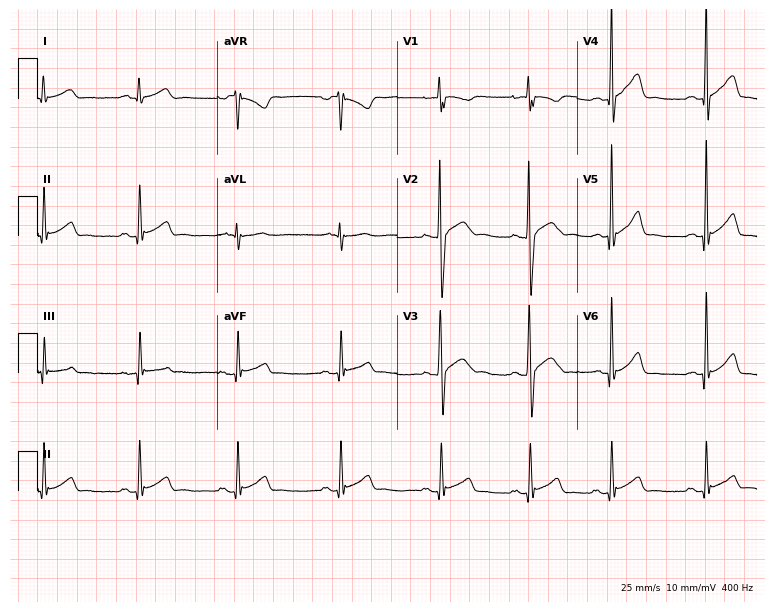
ECG (7.3-second recording at 400 Hz) — an 18-year-old male. Screened for six findings — first-degree AV block, right bundle branch block, left bundle branch block, sinus bradycardia, atrial fibrillation, sinus tachycardia — none is recorded. Findings outside these six are not listed.